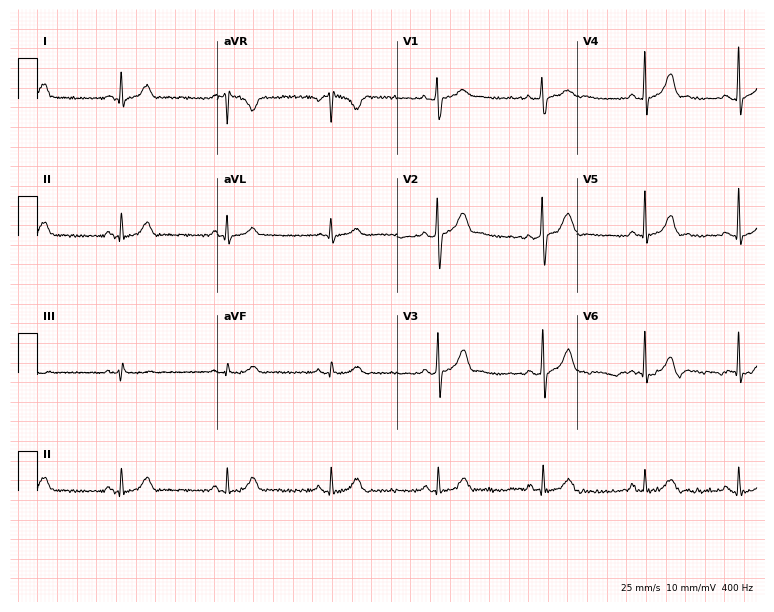
Resting 12-lead electrocardiogram (7.3-second recording at 400 Hz). Patient: a male, 32 years old. None of these six findings is recorded: first-degree AV block, right bundle branch block, left bundle branch block, sinus bradycardia, atrial fibrillation, sinus tachycardia.